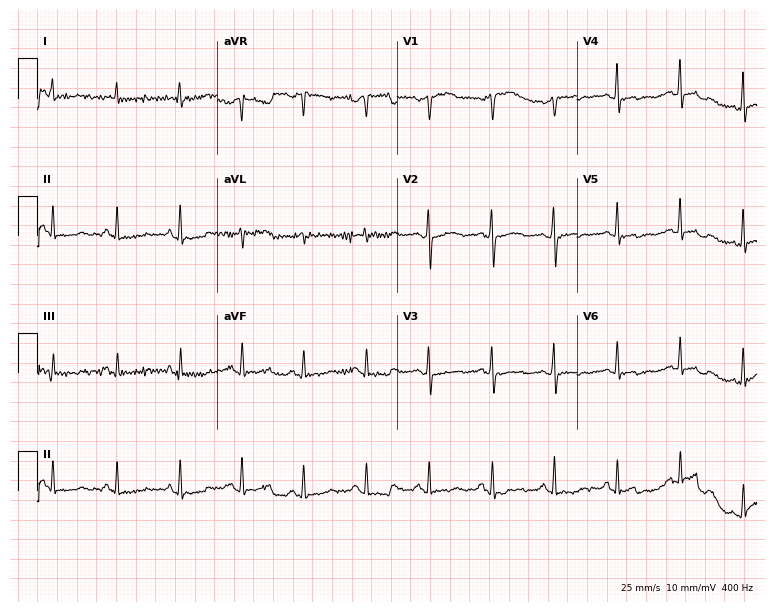
12-lead ECG from a 61-year-old woman. Screened for six findings — first-degree AV block, right bundle branch block, left bundle branch block, sinus bradycardia, atrial fibrillation, sinus tachycardia — none is recorded.